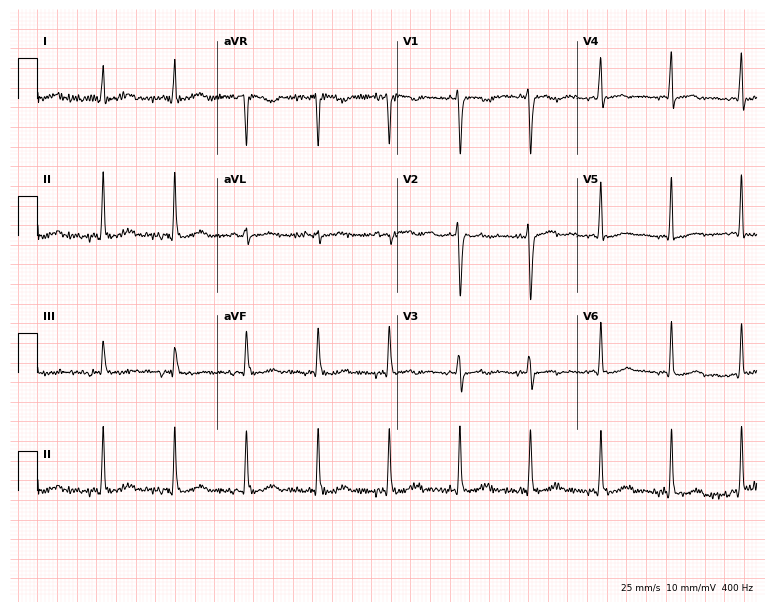
Resting 12-lead electrocardiogram. Patient: a 38-year-old woman. None of these six findings is recorded: first-degree AV block, right bundle branch block, left bundle branch block, sinus bradycardia, atrial fibrillation, sinus tachycardia. Findings outside these six are not listed.